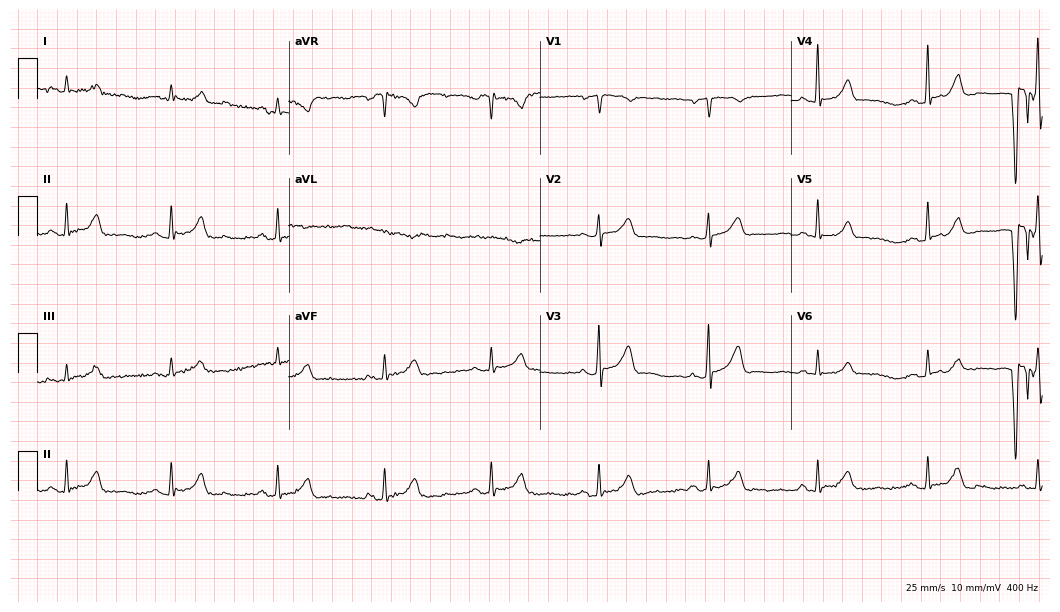
Resting 12-lead electrocardiogram. Patient: a 74-year-old male. None of these six findings is recorded: first-degree AV block, right bundle branch block, left bundle branch block, sinus bradycardia, atrial fibrillation, sinus tachycardia. Other findings, if any, are not listed.